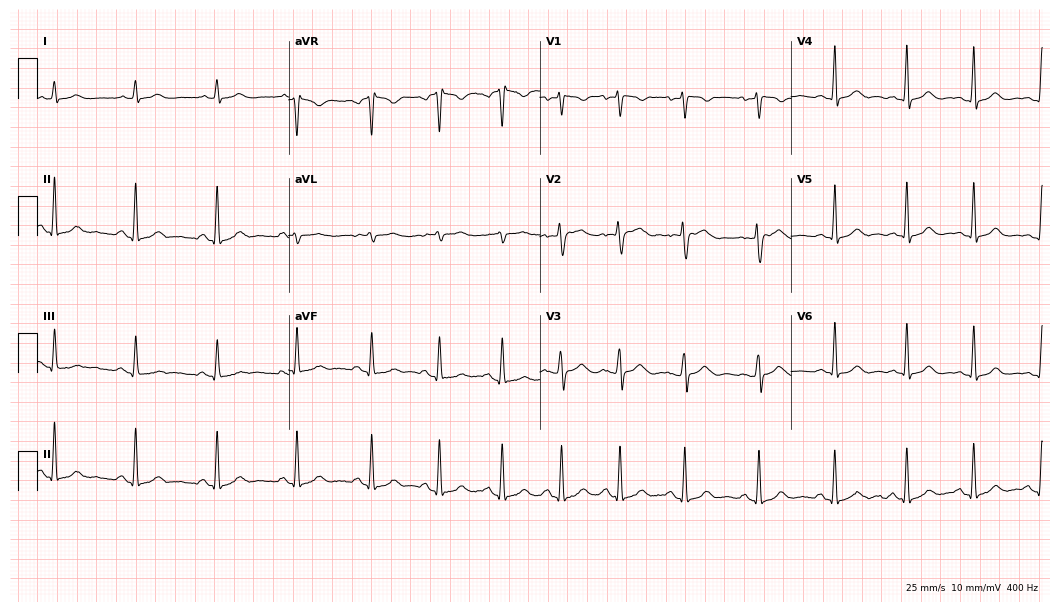
Electrocardiogram (10.2-second recording at 400 Hz), a woman, 39 years old. Of the six screened findings (first-degree AV block, right bundle branch block, left bundle branch block, sinus bradycardia, atrial fibrillation, sinus tachycardia), none is recorded. Findings outside these six are not listed.